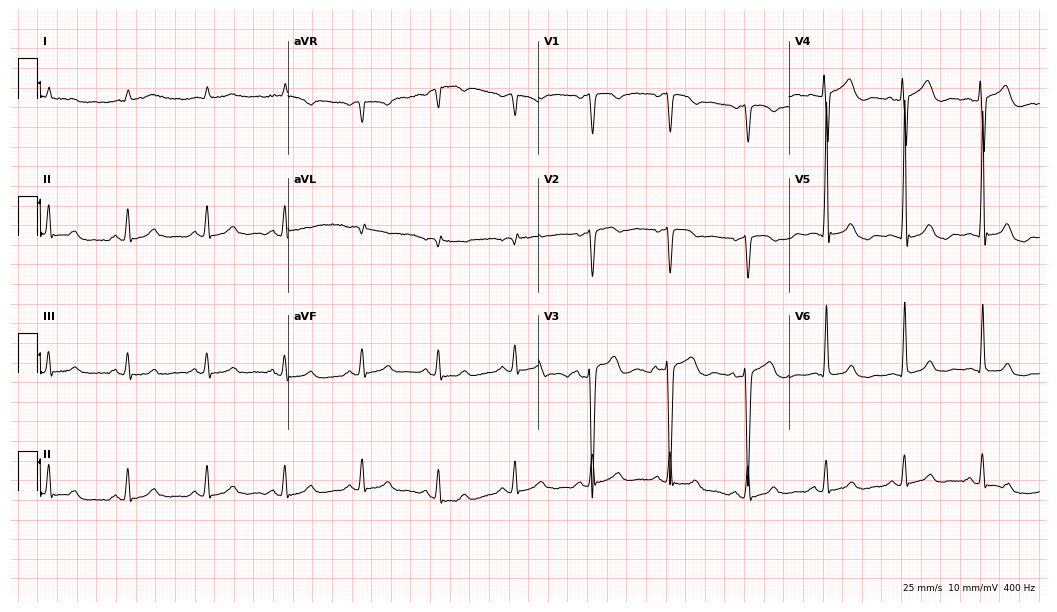
Resting 12-lead electrocardiogram. Patient: a male, 78 years old. None of these six findings is recorded: first-degree AV block, right bundle branch block, left bundle branch block, sinus bradycardia, atrial fibrillation, sinus tachycardia.